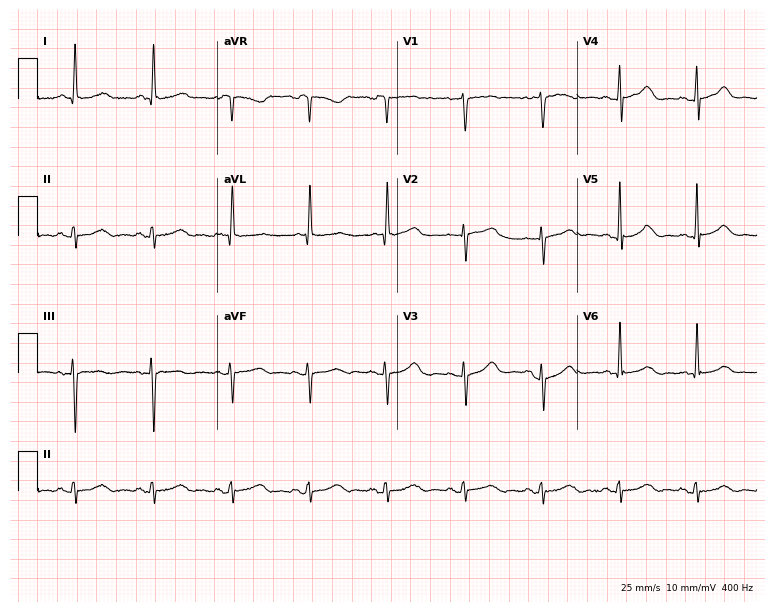
12-lead ECG from a woman, 69 years old. Labelled as a normal ECG.